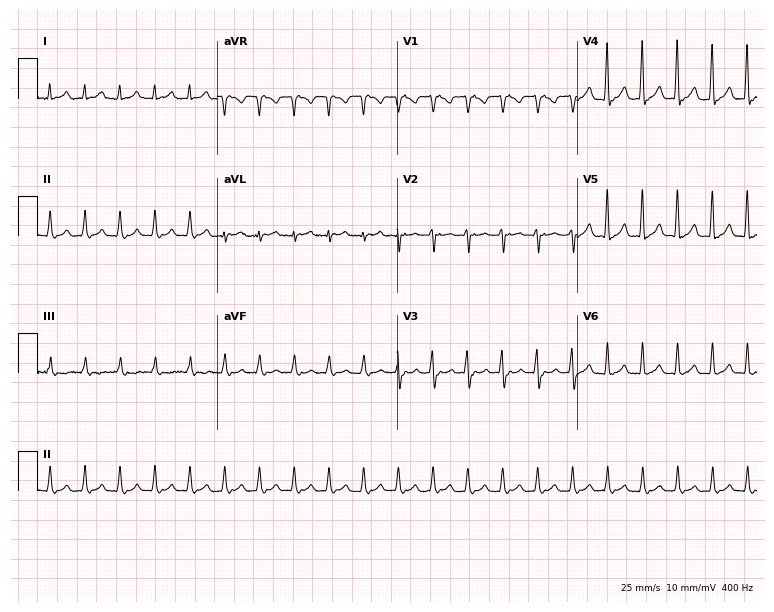
ECG (7.3-second recording at 400 Hz) — a woman, 29 years old. Screened for six findings — first-degree AV block, right bundle branch block, left bundle branch block, sinus bradycardia, atrial fibrillation, sinus tachycardia — none is recorded.